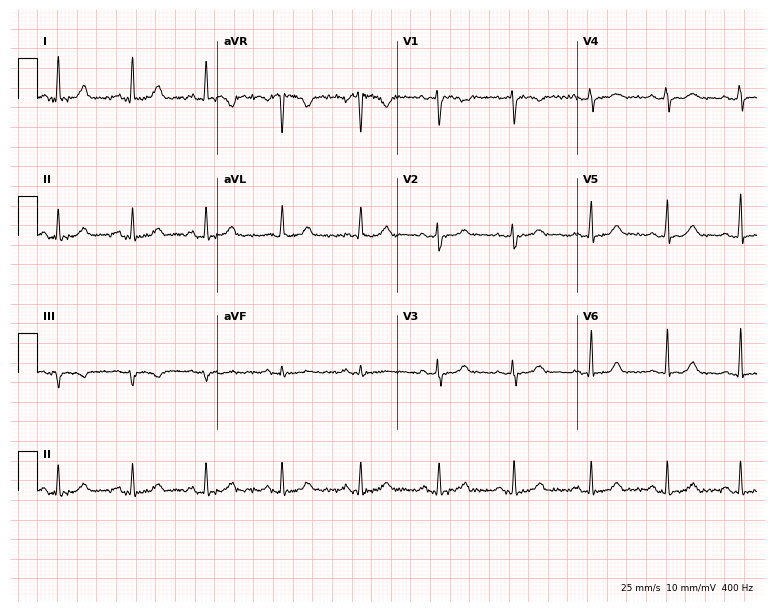
Electrocardiogram, a woman, 39 years old. Overall reading on record: normal ECG.